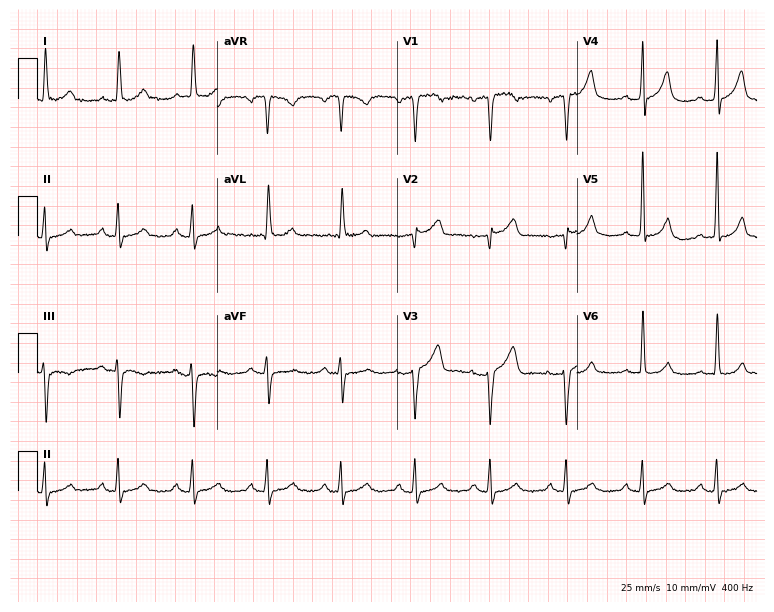
12-lead ECG from a 77-year-old woman. No first-degree AV block, right bundle branch block, left bundle branch block, sinus bradycardia, atrial fibrillation or sinus tachycardia recorded for this tracing.